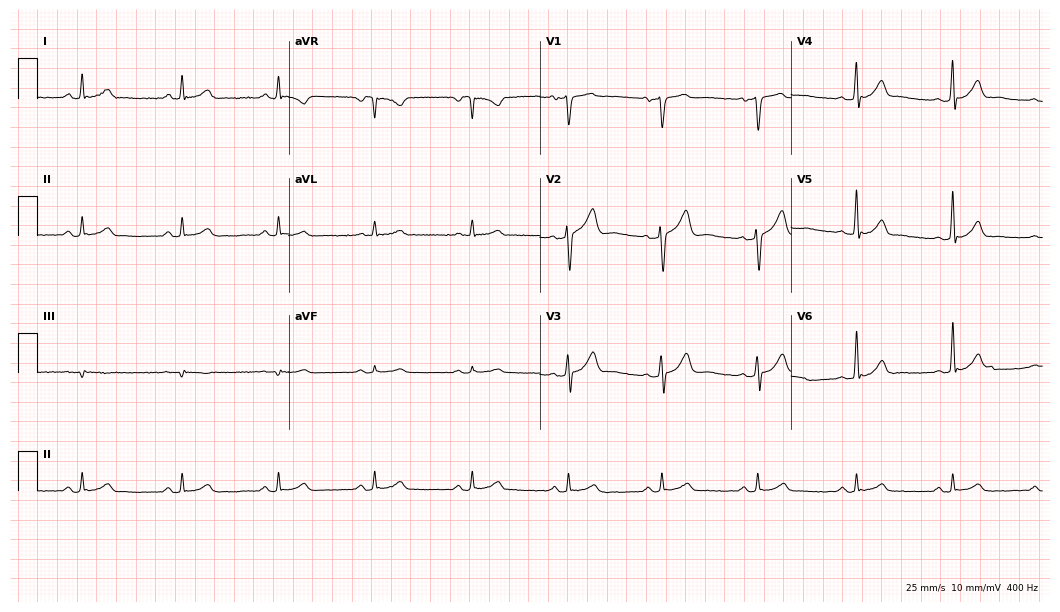
ECG — a 45-year-old male. Labelled as a normal ECG.